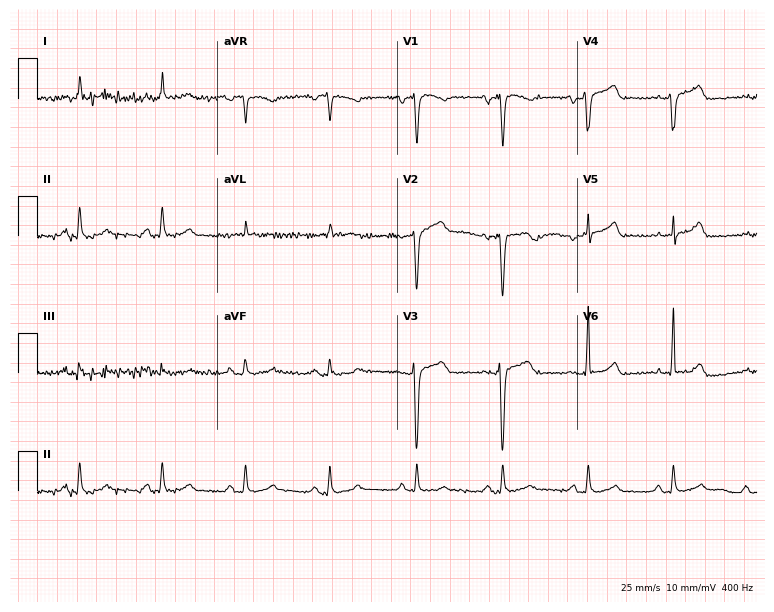
Electrocardiogram (7.3-second recording at 400 Hz), a woman, 80 years old. Of the six screened findings (first-degree AV block, right bundle branch block, left bundle branch block, sinus bradycardia, atrial fibrillation, sinus tachycardia), none is recorded. Findings outside these six are not listed.